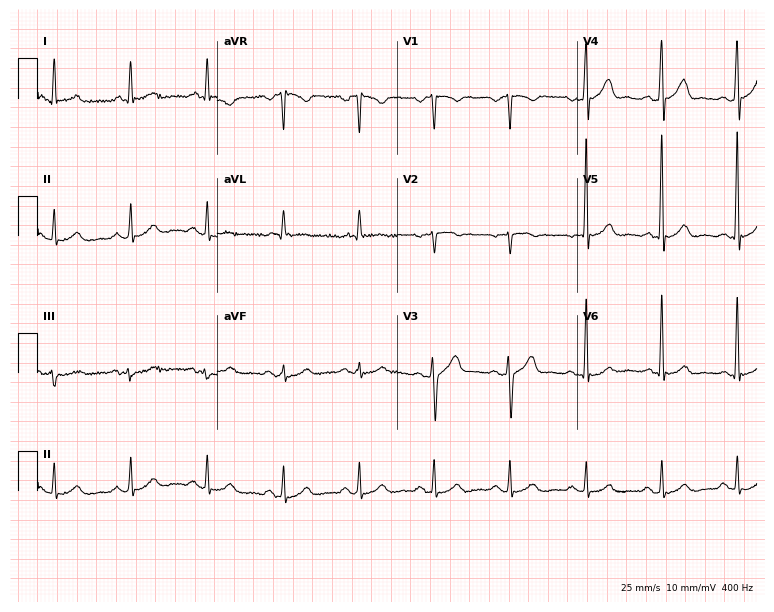
Electrocardiogram, a male, 65 years old. Overall reading on record: normal ECG.